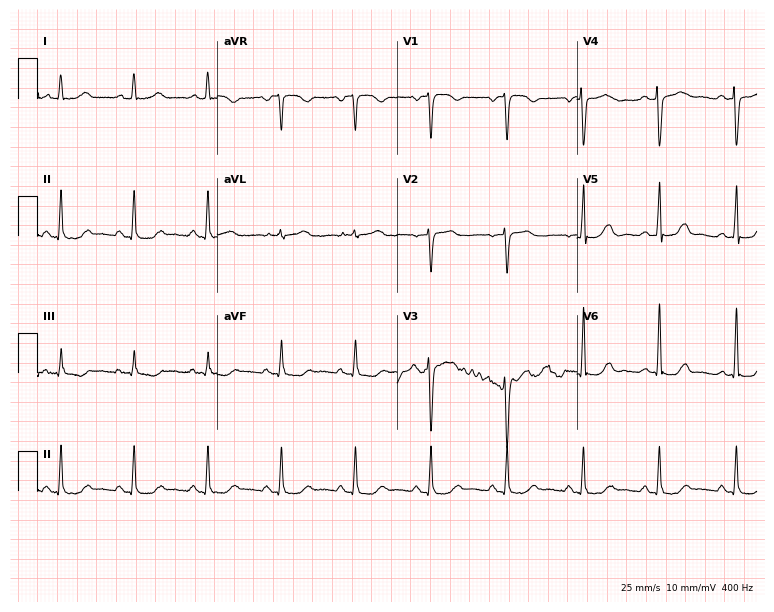
ECG — a woman, 50 years old. Labelled as a normal ECG.